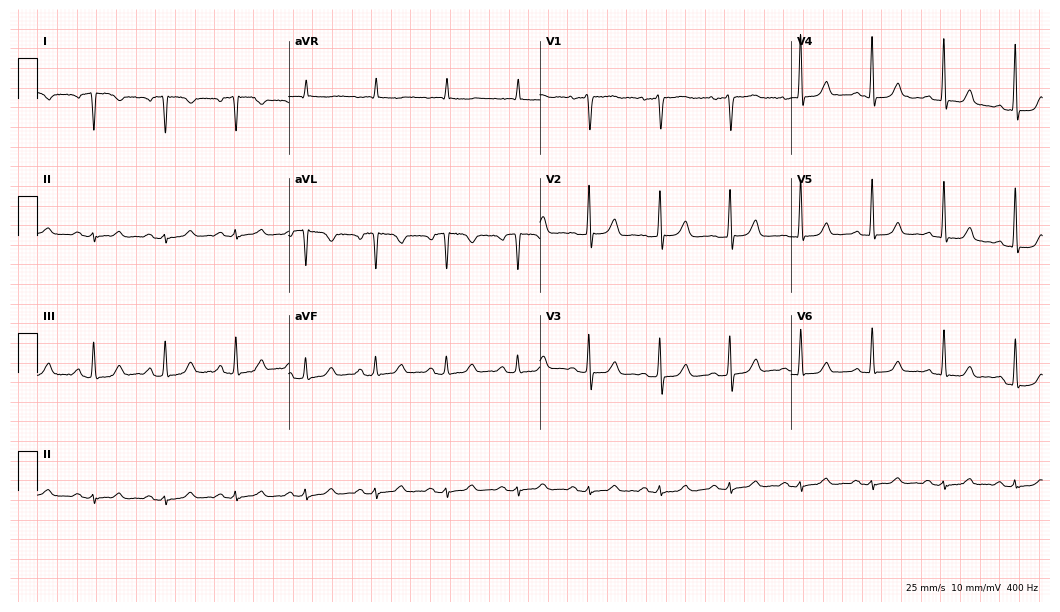
12-lead ECG from a 70-year-old female (10.2-second recording at 400 Hz). No first-degree AV block, right bundle branch block (RBBB), left bundle branch block (LBBB), sinus bradycardia, atrial fibrillation (AF) or sinus tachycardia recorded for this tracing.